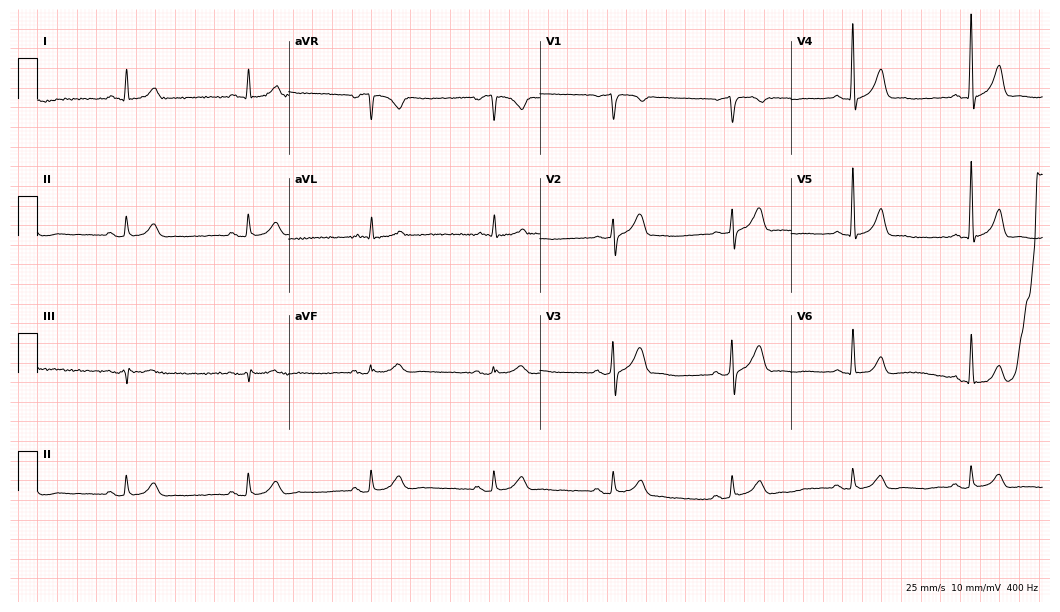
12-lead ECG (10.2-second recording at 400 Hz) from a male, 62 years old. Screened for six findings — first-degree AV block, right bundle branch block (RBBB), left bundle branch block (LBBB), sinus bradycardia, atrial fibrillation (AF), sinus tachycardia — none is recorded. Only these six findings were labelled.